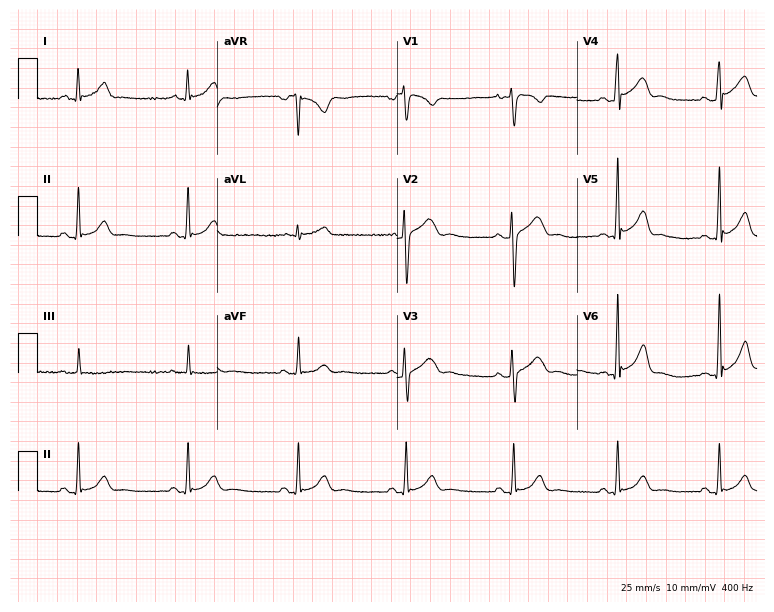
12-lead ECG (7.3-second recording at 400 Hz) from a 32-year-old man. Labelled as a normal ECG.